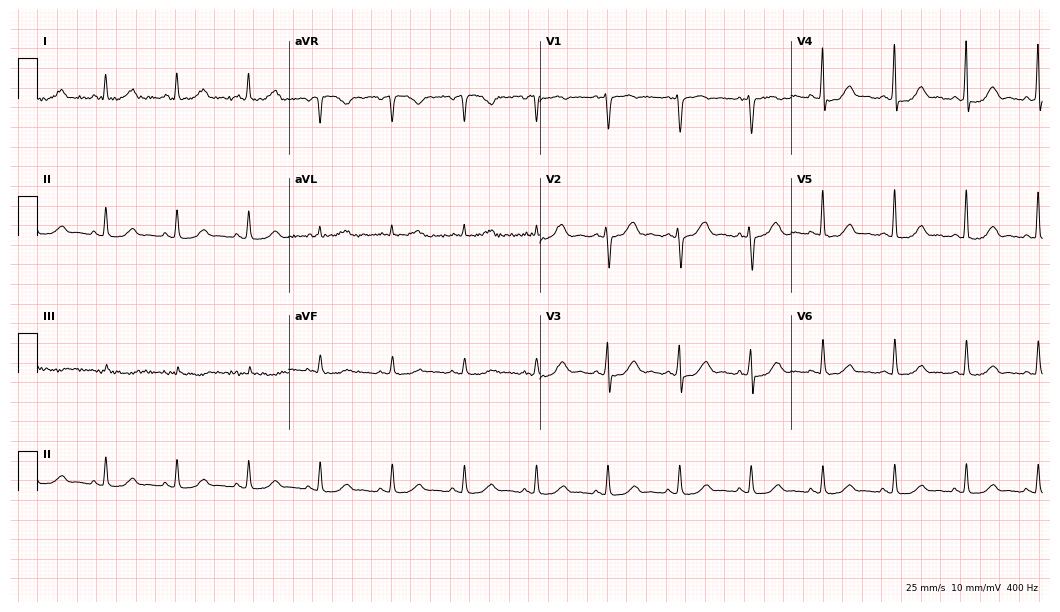
12-lead ECG (10.2-second recording at 400 Hz) from a 50-year-old female patient. Labelled as a normal ECG.